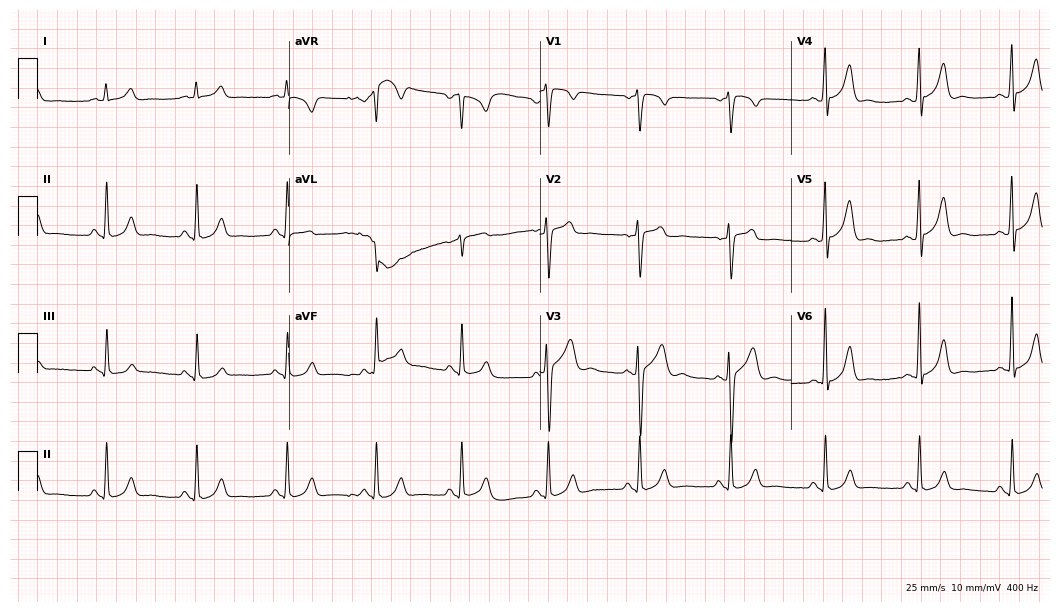
Standard 12-lead ECG recorded from a man, 46 years old. Read as a normal ECG.